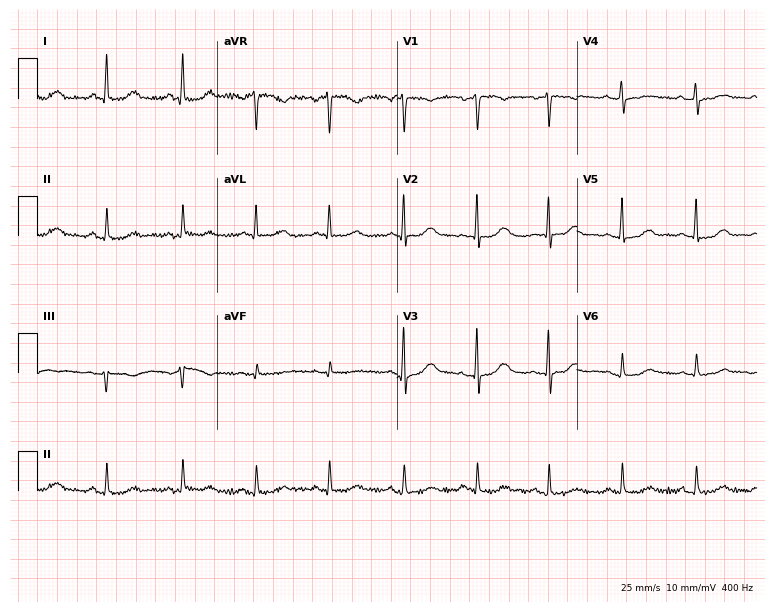
Resting 12-lead electrocardiogram (7.3-second recording at 400 Hz). Patient: a 68-year-old woman. Read as a normal ECG.